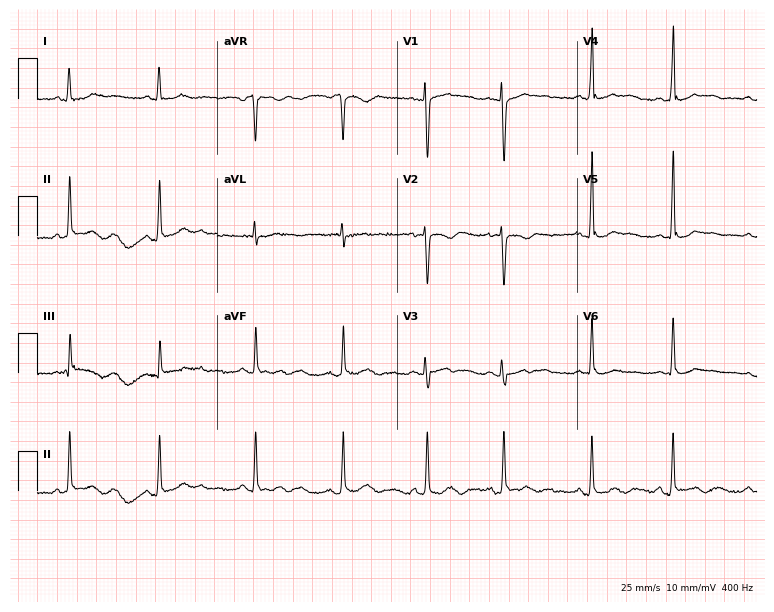
Standard 12-lead ECG recorded from a female patient, 18 years old (7.3-second recording at 400 Hz). None of these six findings is recorded: first-degree AV block, right bundle branch block (RBBB), left bundle branch block (LBBB), sinus bradycardia, atrial fibrillation (AF), sinus tachycardia.